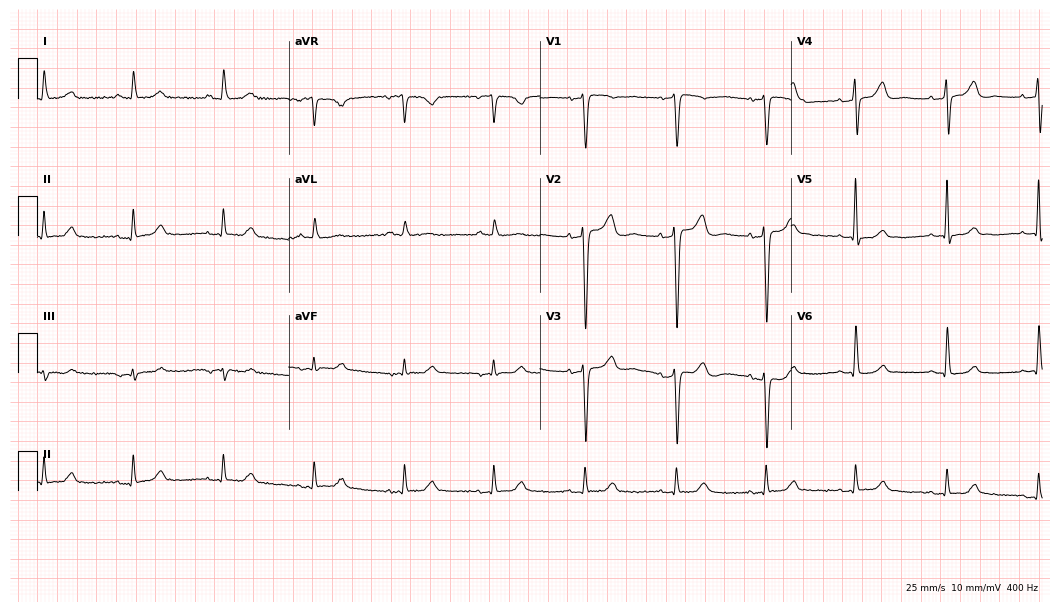
12-lead ECG from a female patient, 71 years old. No first-degree AV block, right bundle branch block (RBBB), left bundle branch block (LBBB), sinus bradycardia, atrial fibrillation (AF) or sinus tachycardia recorded for this tracing.